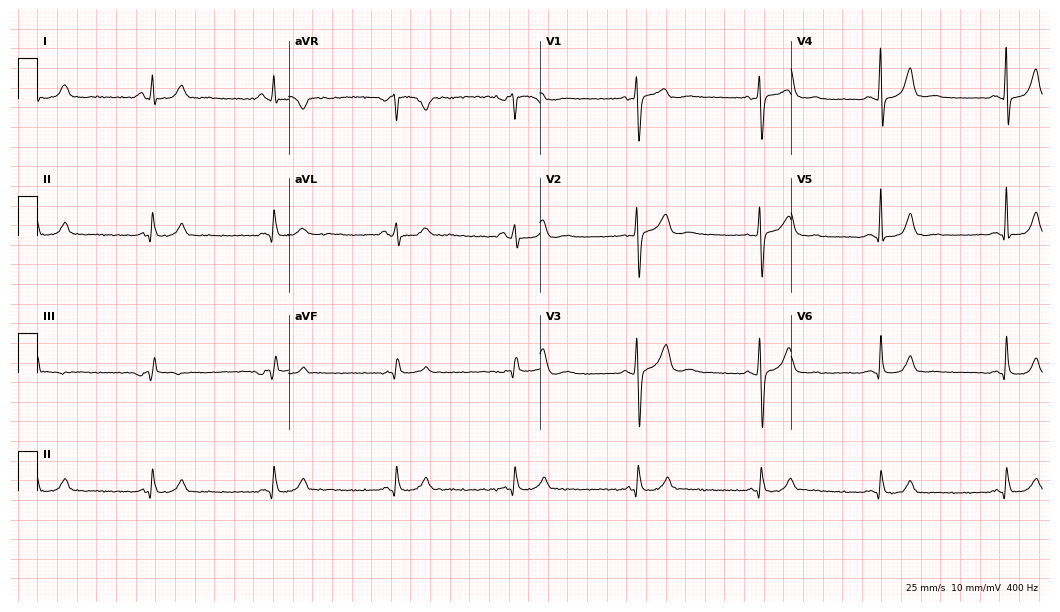
12-lead ECG from a 53-year-old female (10.2-second recording at 400 Hz). Shows sinus bradycardia (a sinus rate of 50 beats per minute or less).